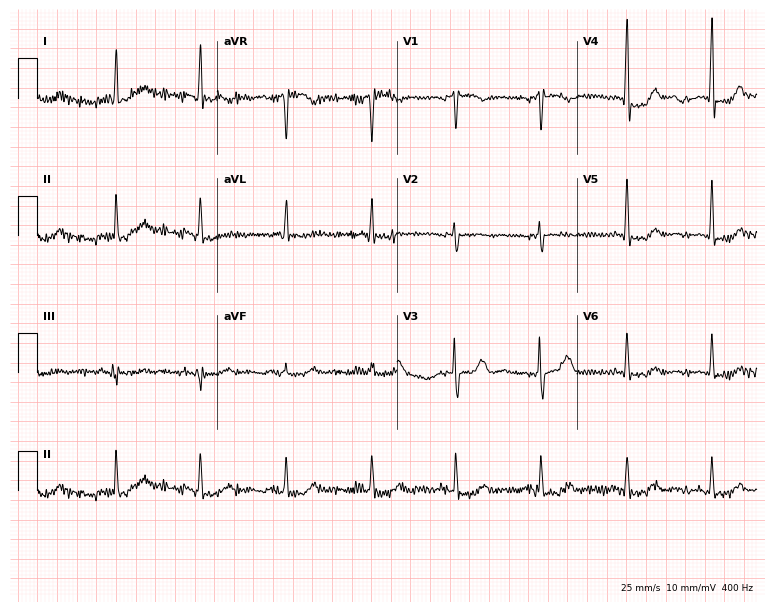
Electrocardiogram, a 70-year-old woman. Of the six screened findings (first-degree AV block, right bundle branch block, left bundle branch block, sinus bradycardia, atrial fibrillation, sinus tachycardia), none is recorded.